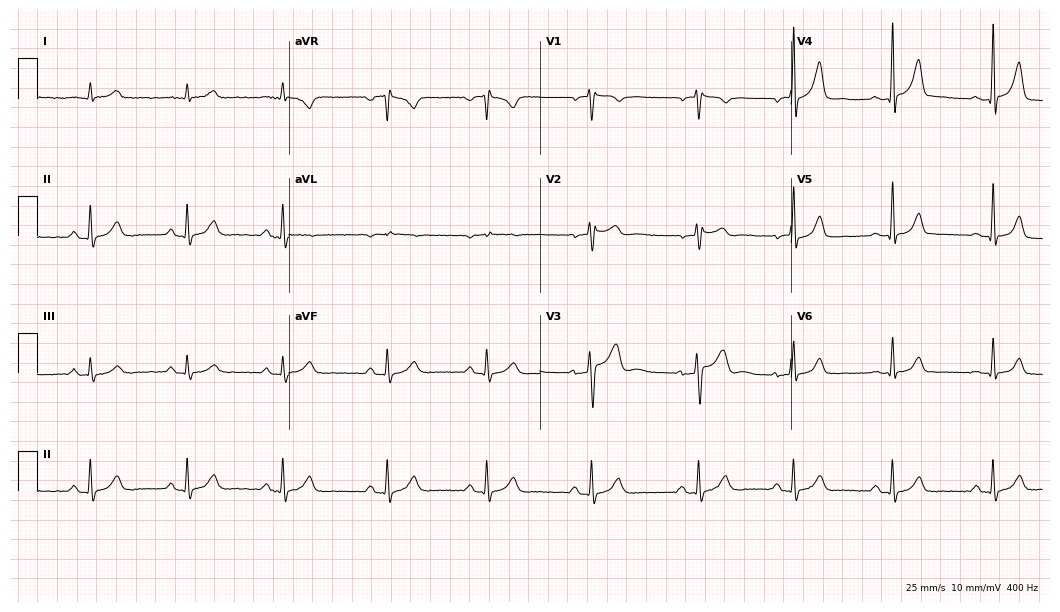
12-lead ECG from a man, 42 years old. Labelled as a normal ECG.